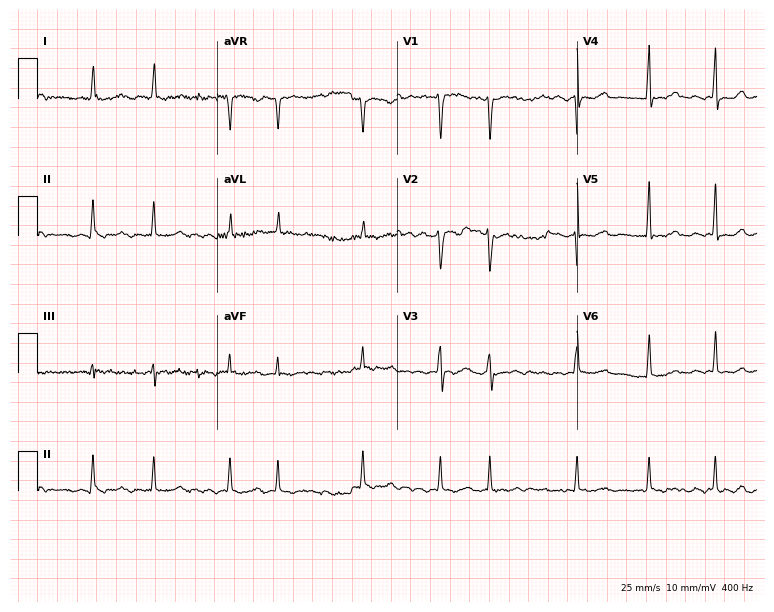
ECG (7.3-second recording at 400 Hz) — a female patient, 46 years old. Findings include atrial fibrillation (AF).